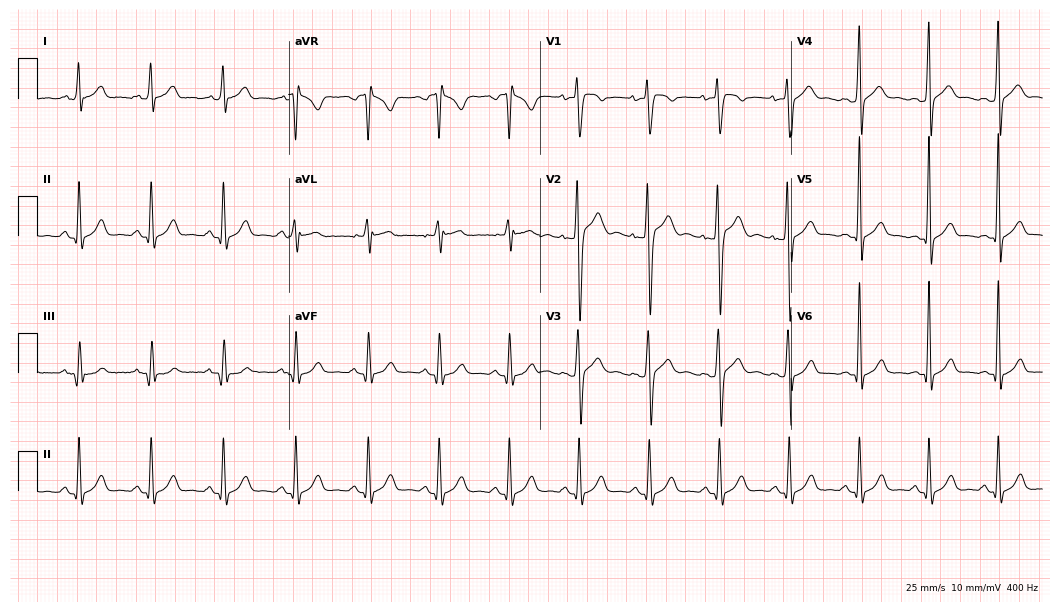
12-lead ECG from a 21-year-old male patient (10.2-second recording at 400 Hz). No first-degree AV block, right bundle branch block, left bundle branch block, sinus bradycardia, atrial fibrillation or sinus tachycardia recorded for this tracing. Findings outside these six are not listed.